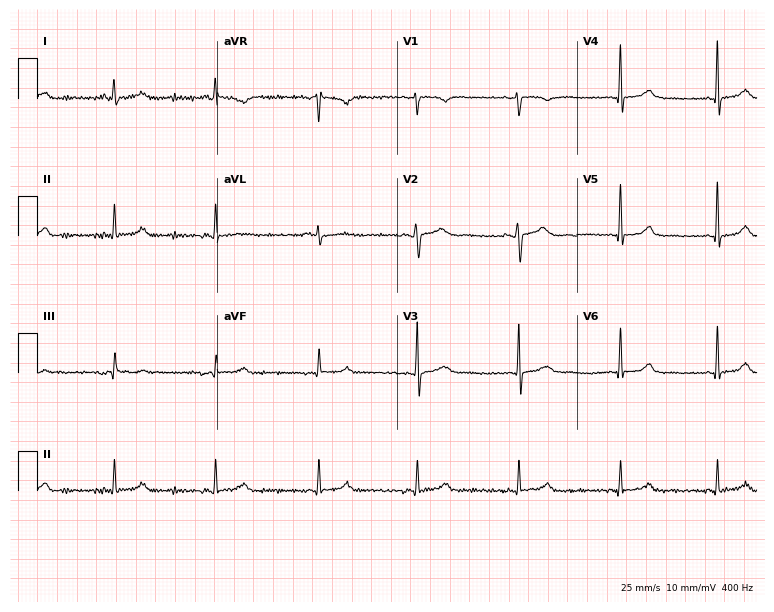
12-lead ECG from a 42-year-old female (7.3-second recording at 400 Hz). No first-degree AV block, right bundle branch block, left bundle branch block, sinus bradycardia, atrial fibrillation or sinus tachycardia recorded for this tracing. Other findings, if any, are not listed.